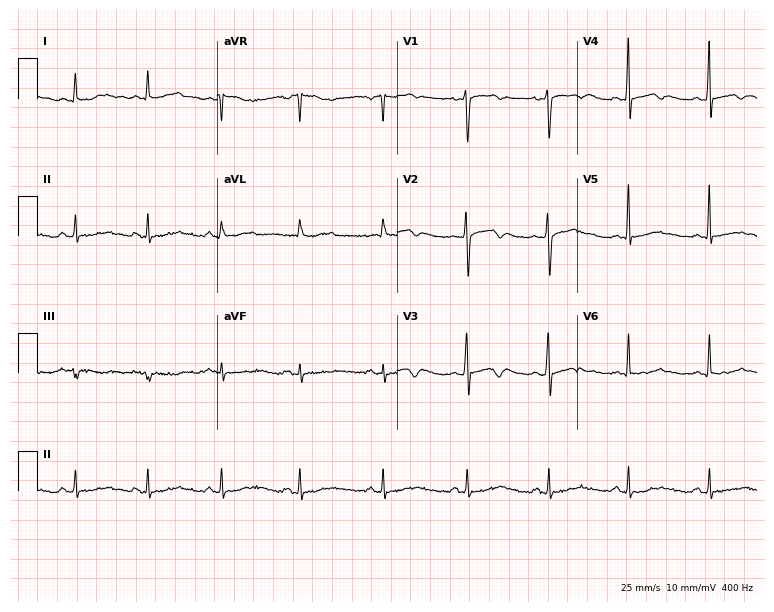
Resting 12-lead electrocardiogram (7.3-second recording at 400 Hz). Patient: a male, 46 years old. None of these six findings is recorded: first-degree AV block, right bundle branch block (RBBB), left bundle branch block (LBBB), sinus bradycardia, atrial fibrillation (AF), sinus tachycardia.